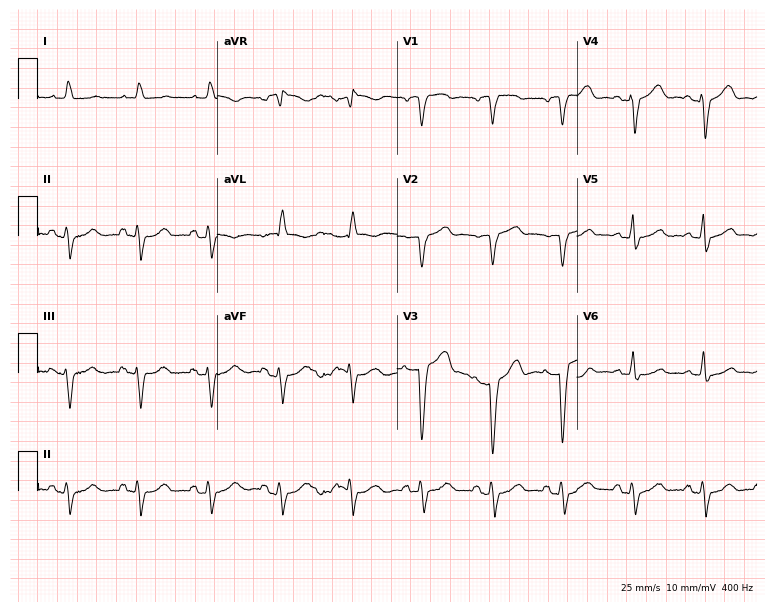
Electrocardiogram (7.3-second recording at 400 Hz), a female, 68 years old. Of the six screened findings (first-degree AV block, right bundle branch block, left bundle branch block, sinus bradycardia, atrial fibrillation, sinus tachycardia), none is recorded. Other findings, if any, are not listed.